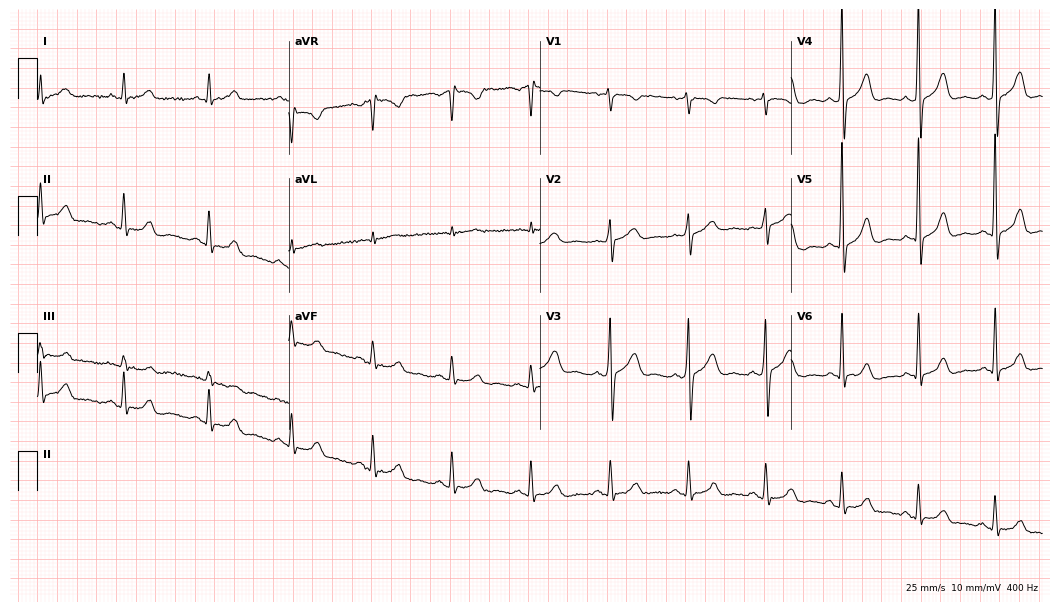
12-lead ECG from a 54-year-old male (10.2-second recording at 400 Hz). No first-degree AV block, right bundle branch block (RBBB), left bundle branch block (LBBB), sinus bradycardia, atrial fibrillation (AF) or sinus tachycardia recorded for this tracing. Other findings, if any, are not listed.